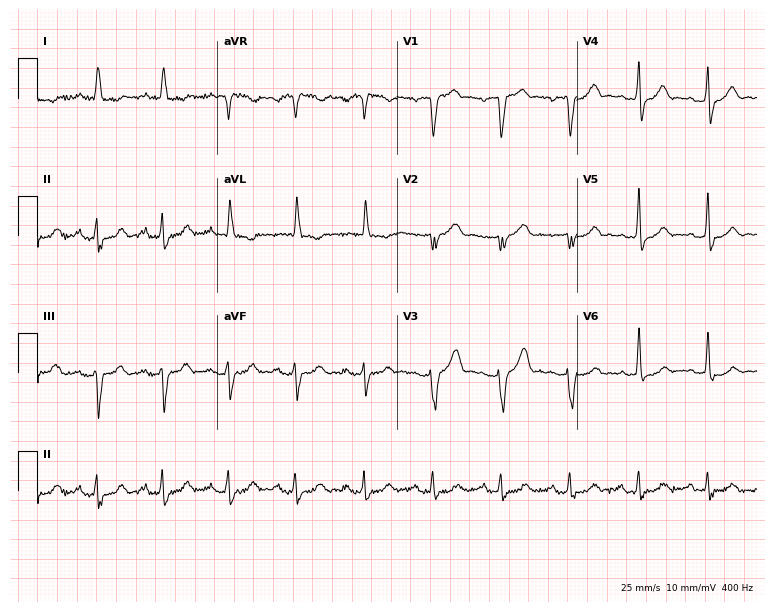
Resting 12-lead electrocardiogram (7.3-second recording at 400 Hz). Patient: a 74-year-old man. None of these six findings is recorded: first-degree AV block, right bundle branch block, left bundle branch block, sinus bradycardia, atrial fibrillation, sinus tachycardia.